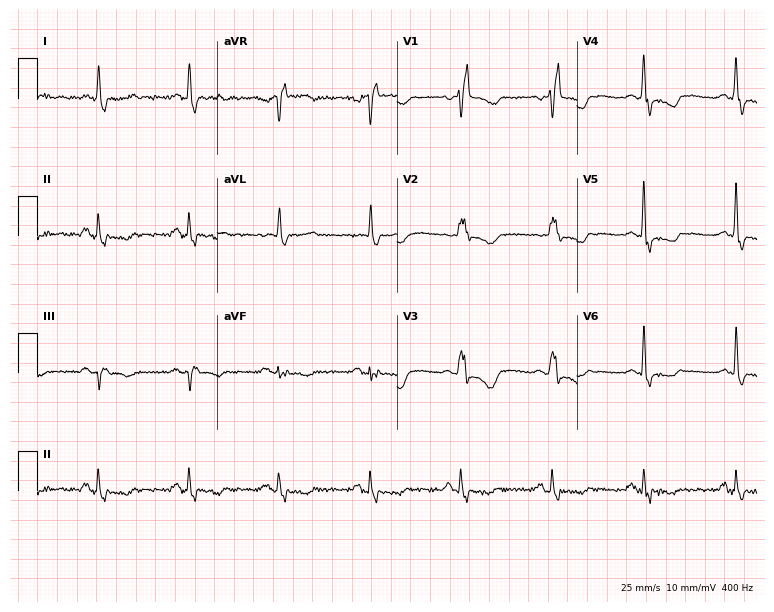
12-lead ECG from a 75-year-old female patient. Findings include right bundle branch block.